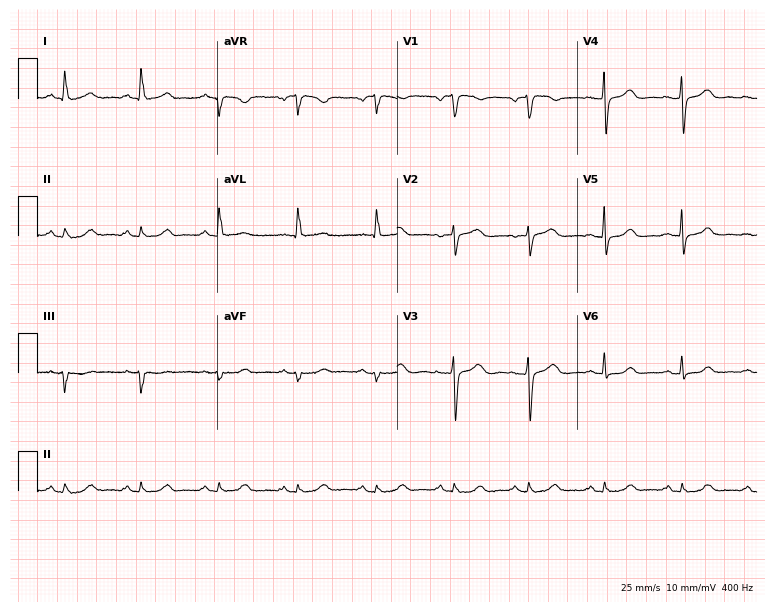
ECG (7.3-second recording at 400 Hz) — a 60-year-old female patient. Labelled as a normal ECG.